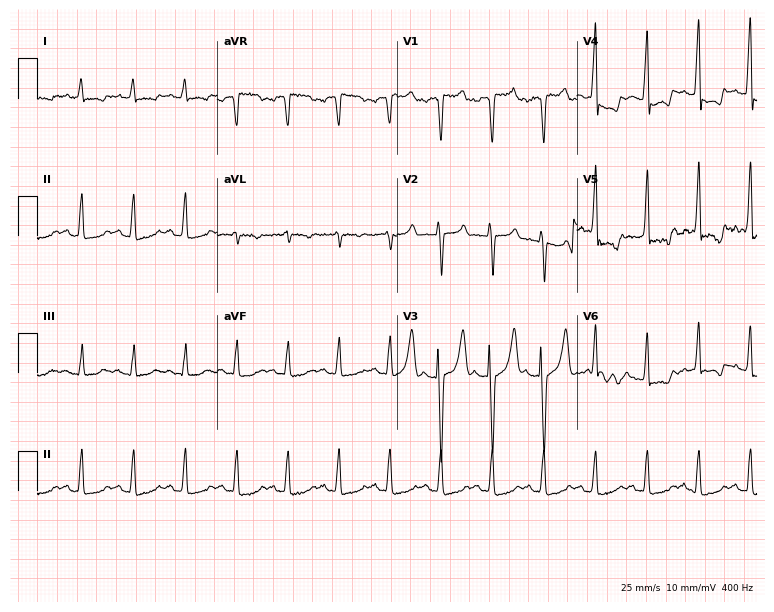
Standard 12-lead ECG recorded from a man, 53 years old (7.3-second recording at 400 Hz). The tracing shows sinus tachycardia (a sinus rate of 100 beats per minute or more).